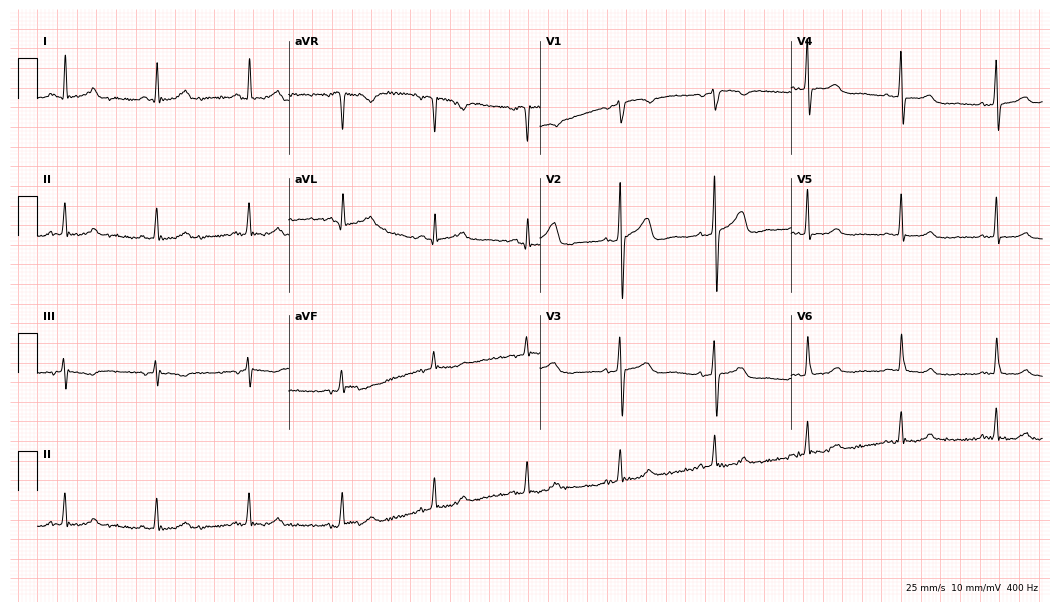
Standard 12-lead ECG recorded from a woman, 65 years old (10.2-second recording at 400 Hz). None of these six findings is recorded: first-degree AV block, right bundle branch block, left bundle branch block, sinus bradycardia, atrial fibrillation, sinus tachycardia. Only these six findings were labelled.